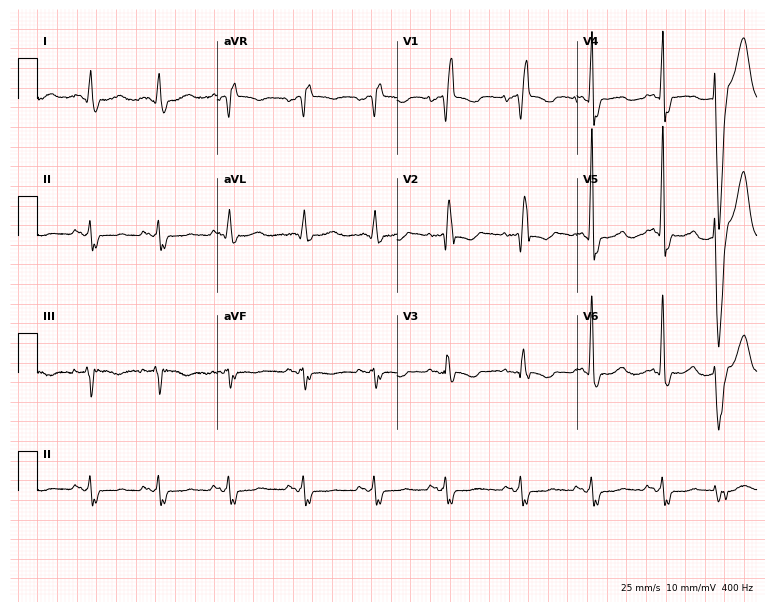
Electrocardiogram (7.3-second recording at 400 Hz), a 73-year-old woman. Interpretation includes right bundle branch block (RBBB).